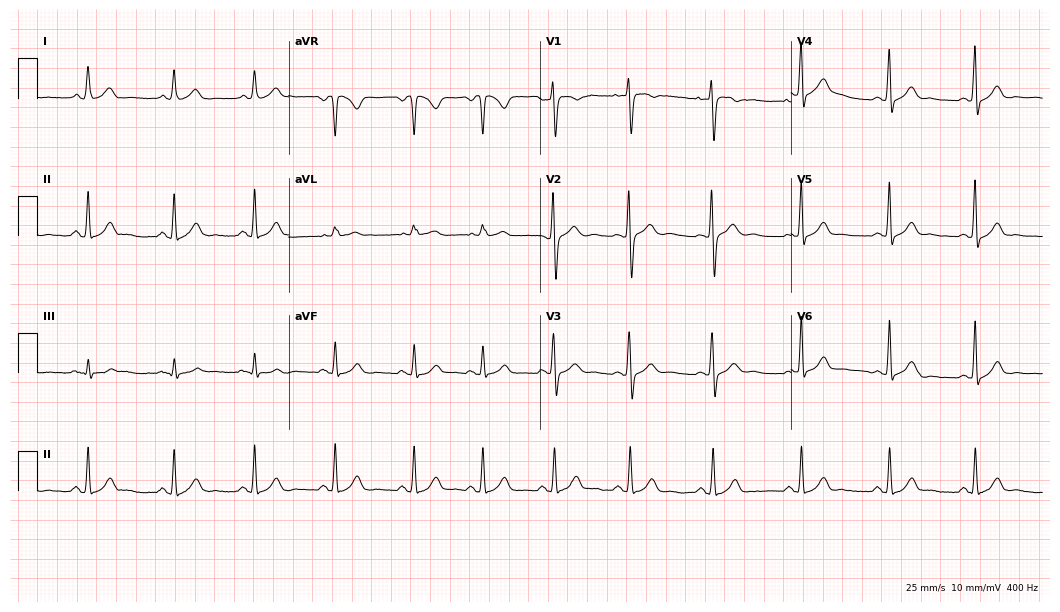
12-lead ECG from a female patient, 24 years old. Recorded interpretation: within normal limits.